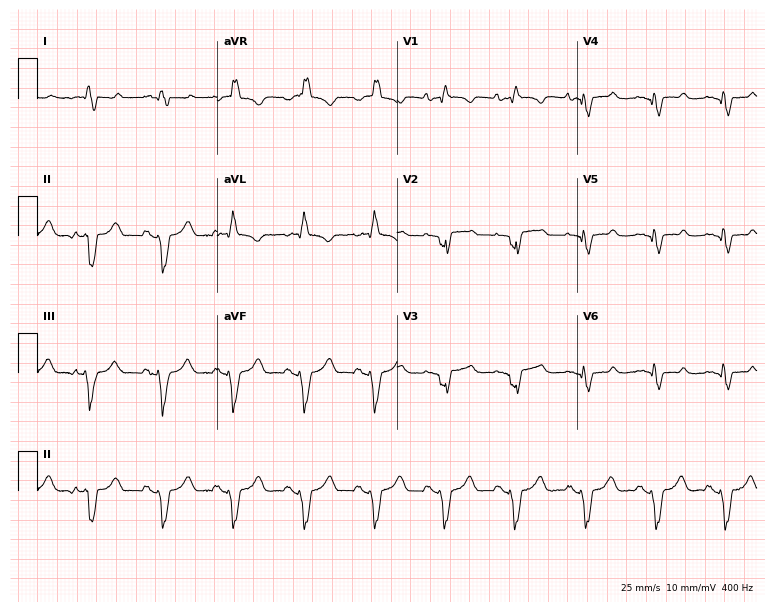
Standard 12-lead ECG recorded from a 51-year-old female (7.3-second recording at 400 Hz). The tracing shows right bundle branch block.